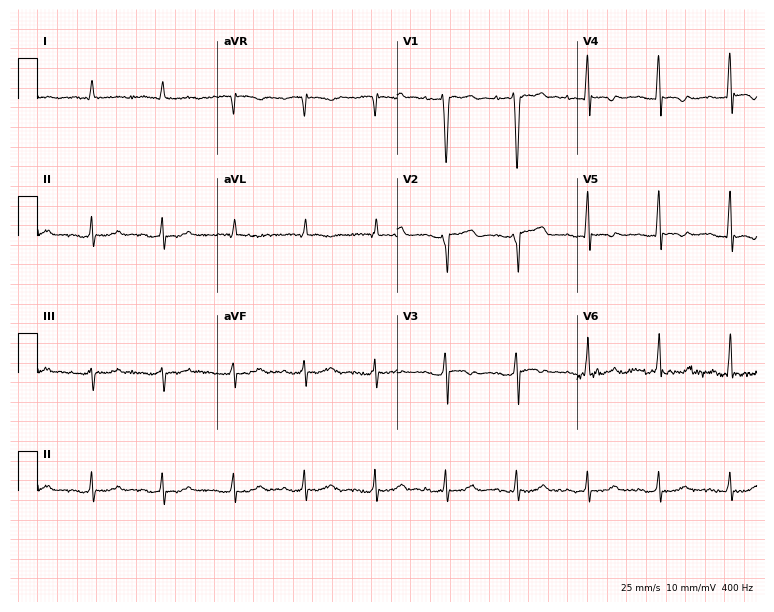
ECG — a 45-year-old male. Screened for six findings — first-degree AV block, right bundle branch block, left bundle branch block, sinus bradycardia, atrial fibrillation, sinus tachycardia — none is recorded.